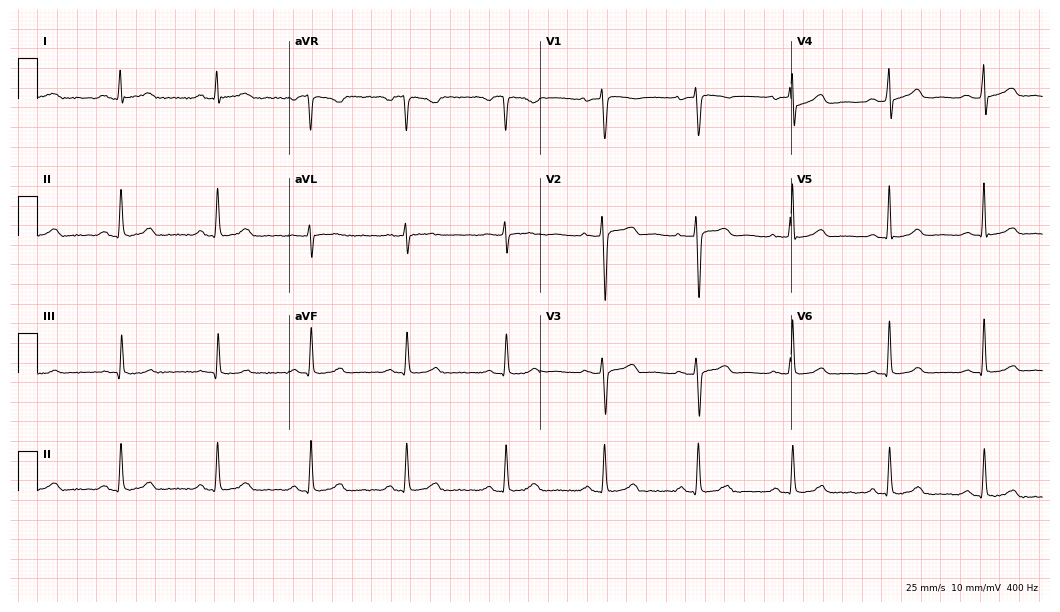
ECG — a 38-year-old female patient. Labelled as a normal ECG.